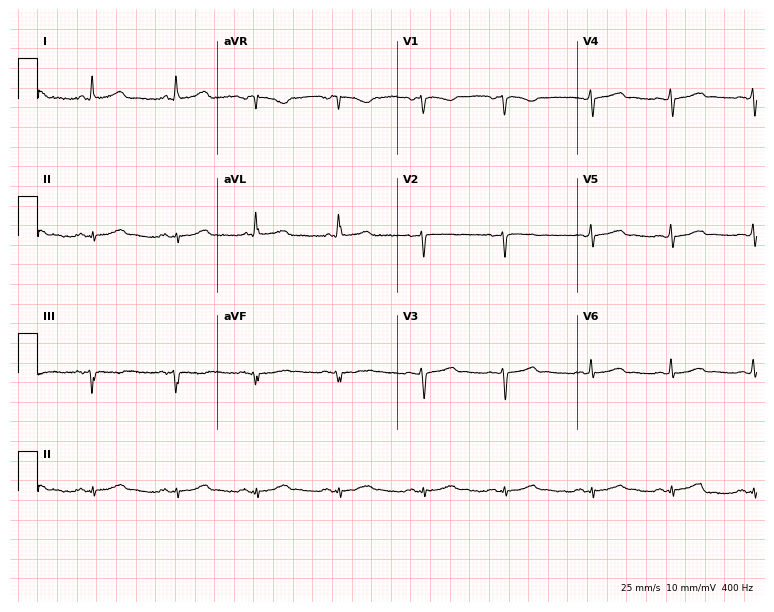
12-lead ECG (7.3-second recording at 400 Hz) from a woman, 40 years old. Screened for six findings — first-degree AV block, right bundle branch block, left bundle branch block, sinus bradycardia, atrial fibrillation, sinus tachycardia — none is recorded.